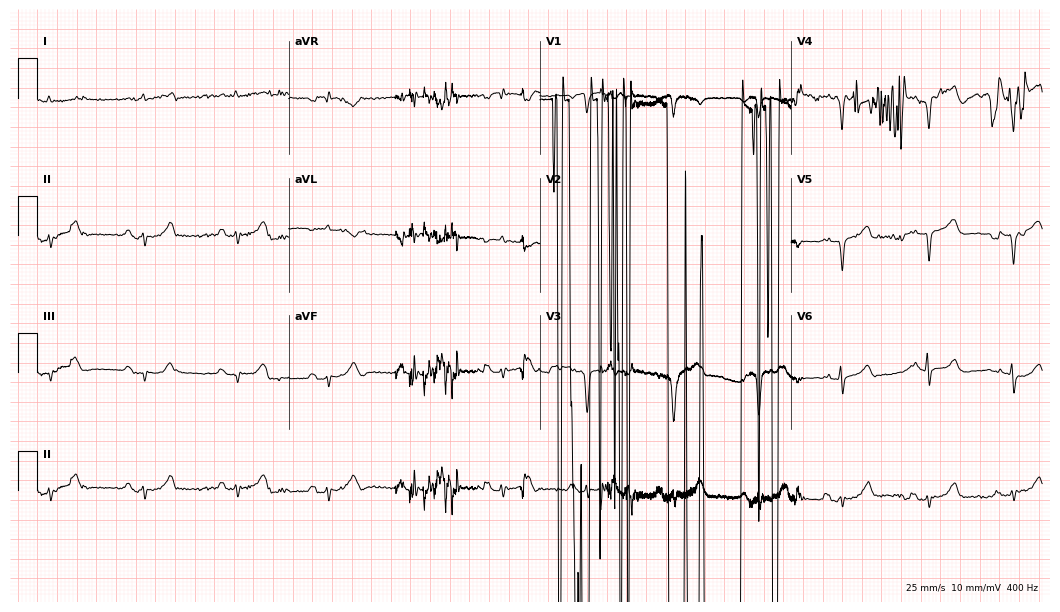
Electrocardiogram (10.2-second recording at 400 Hz), a man, 56 years old. Of the six screened findings (first-degree AV block, right bundle branch block, left bundle branch block, sinus bradycardia, atrial fibrillation, sinus tachycardia), none is recorded.